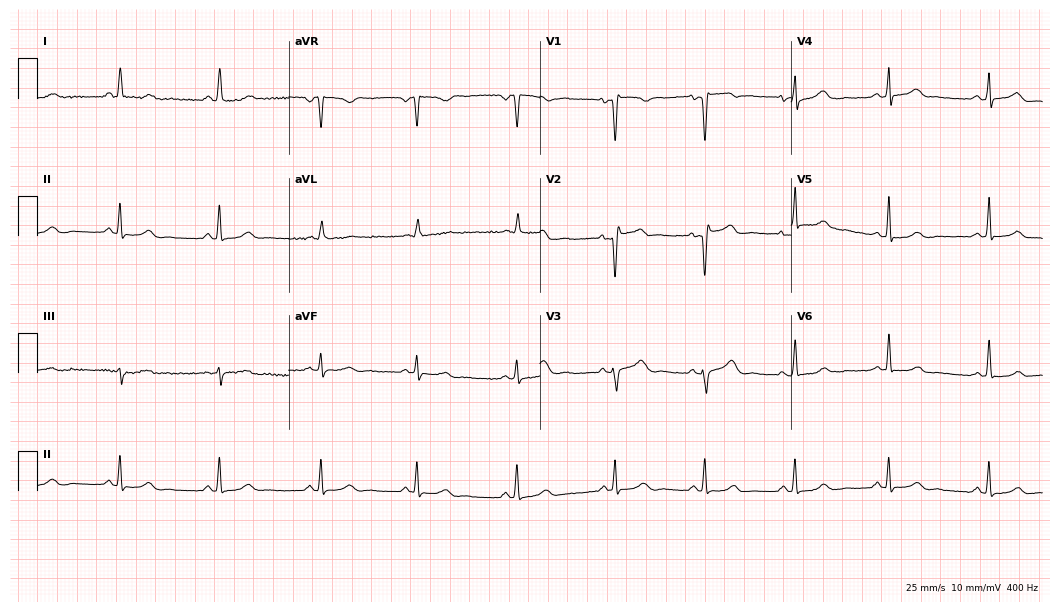
12-lead ECG from a 41-year-old woman (10.2-second recording at 400 Hz). Recorded interpretation: within normal limits.